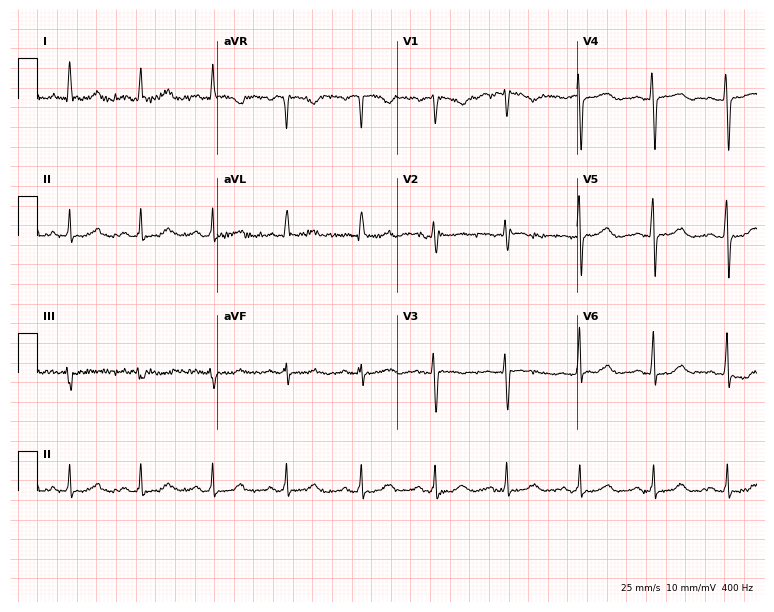
12-lead ECG from a 54-year-old woman. Screened for six findings — first-degree AV block, right bundle branch block (RBBB), left bundle branch block (LBBB), sinus bradycardia, atrial fibrillation (AF), sinus tachycardia — none is recorded.